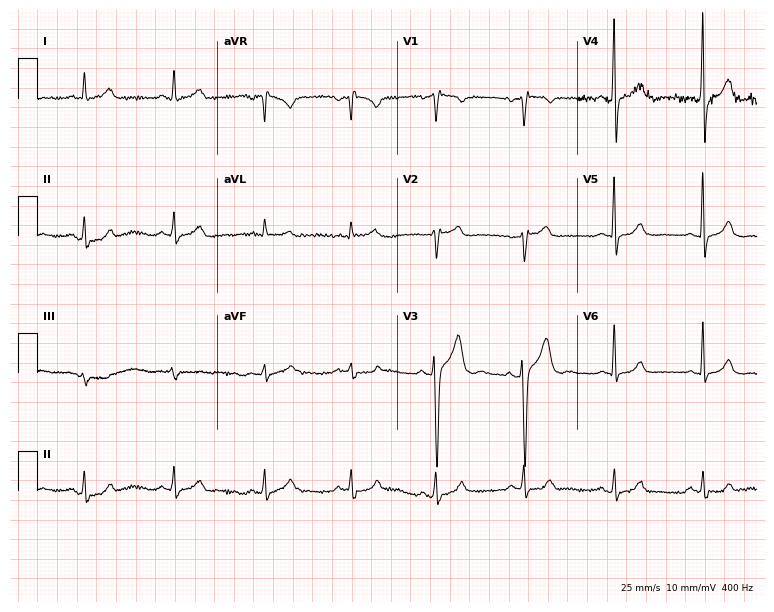
12-lead ECG from a 43-year-old male. Recorded interpretation: within normal limits.